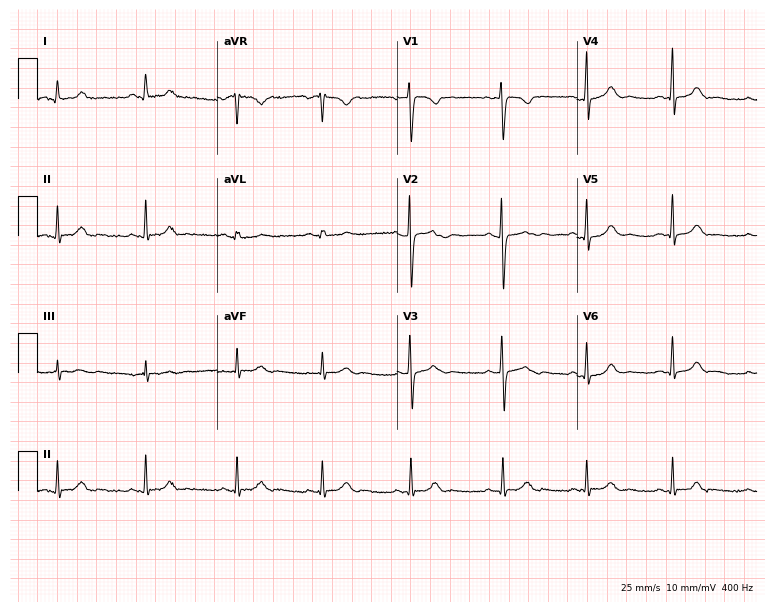
ECG (7.3-second recording at 400 Hz) — a female, 18 years old. Labelled as a normal ECG.